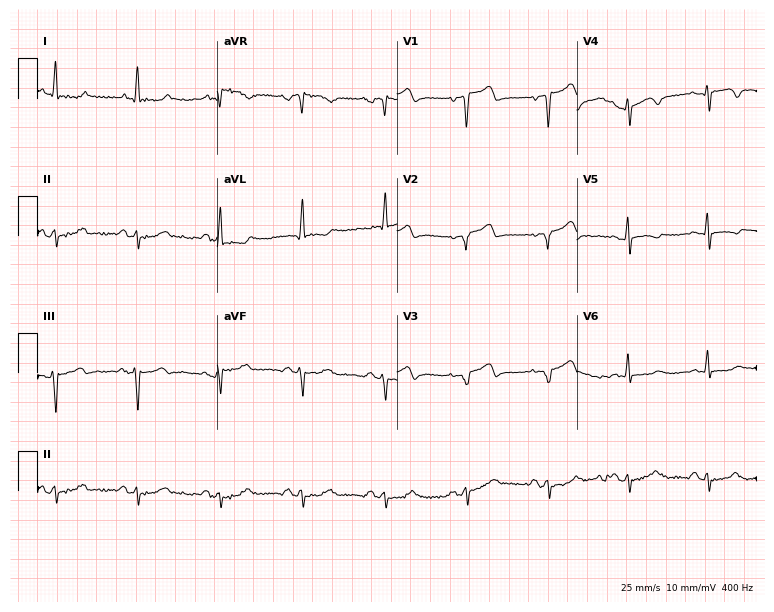
Electrocardiogram (7.3-second recording at 400 Hz), a male patient, 83 years old. Of the six screened findings (first-degree AV block, right bundle branch block, left bundle branch block, sinus bradycardia, atrial fibrillation, sinus tachycardia), none is recorded. Findings outside these six are not listed.